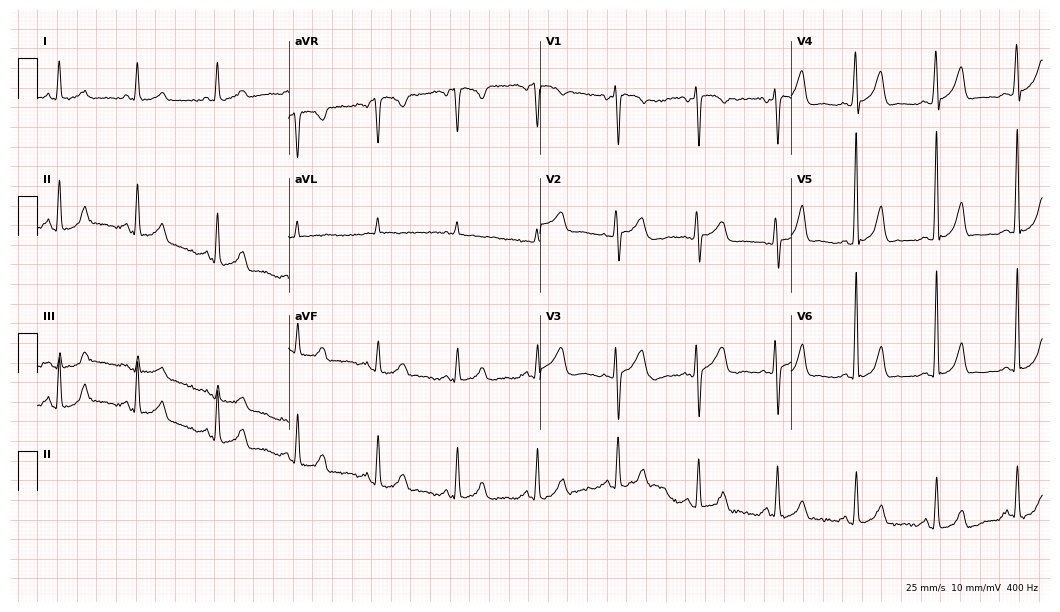
Standard 12-lead ECG recorded from a female, 56 years old (10.2-second recording at 400 Hz). None of these six findings is recorded: first-degree AV block, right bundle branch block, left bundle branch block, sinus bradycardia, atrial fibrillation, sinus tachycardia. Other findings, if any, are not listed.